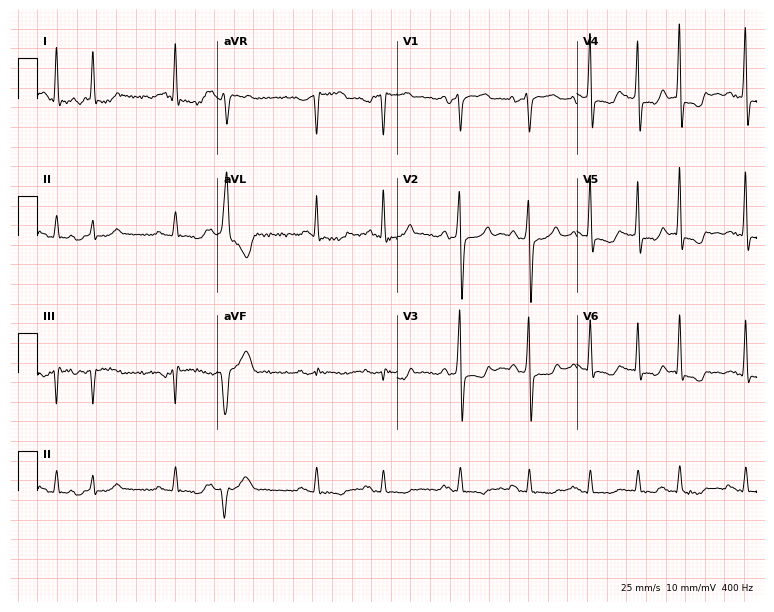
Electrocardiogram (7.3-second recording at 400 Hz), a man, 72 years old. Of the six screened findings (first-degree AV block, right bundle branch block (RBBB), left bundle branch block (LBBB), sinus bradycardia, atrial fibrillation (AF), sinus tachycardia), none is recorded. Other findings, if any, are not listed.